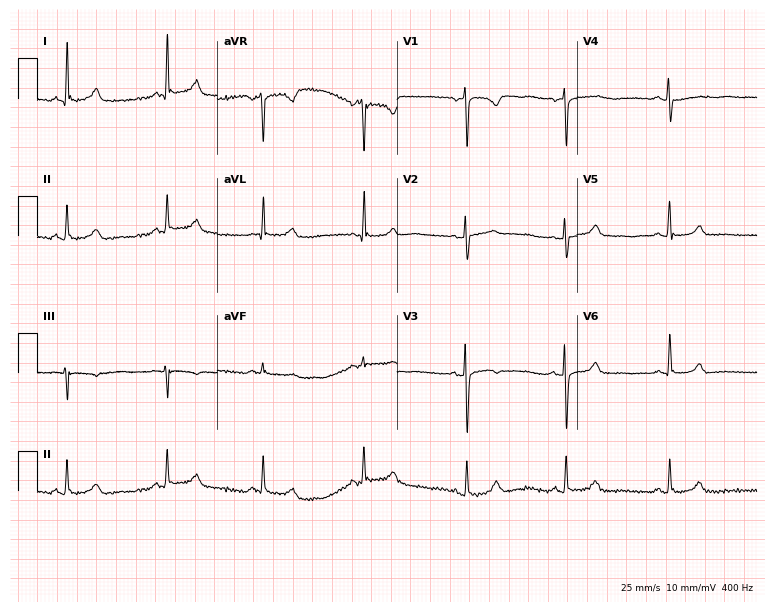
12-lead ECG from a 49-year-old female. Labelled as a normal ECG.